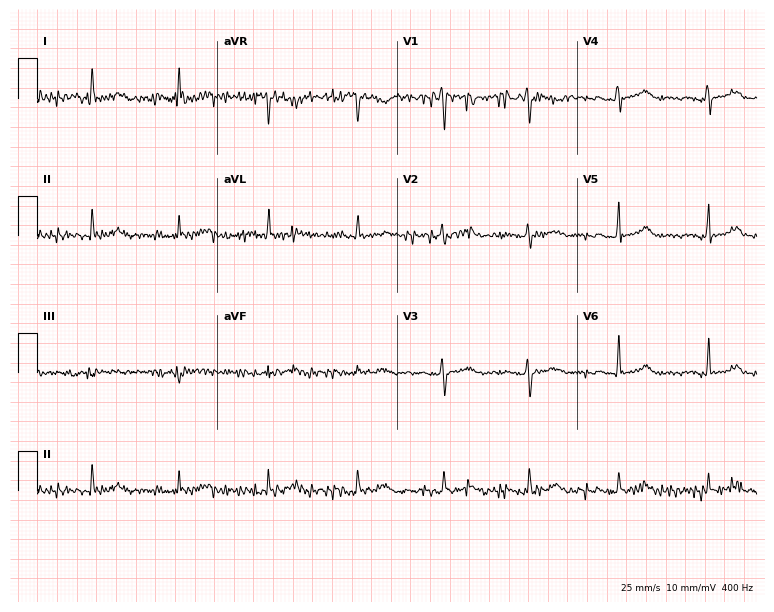
ECG (7.3-second recording at 400 Hz) — a female, 71 years old. Screened for six findings — first-degree AV block, right bundle branch block, left bundle branch block, sinus bradycardia, atrial fibrillation, sinus tachycardia — none is recorded.